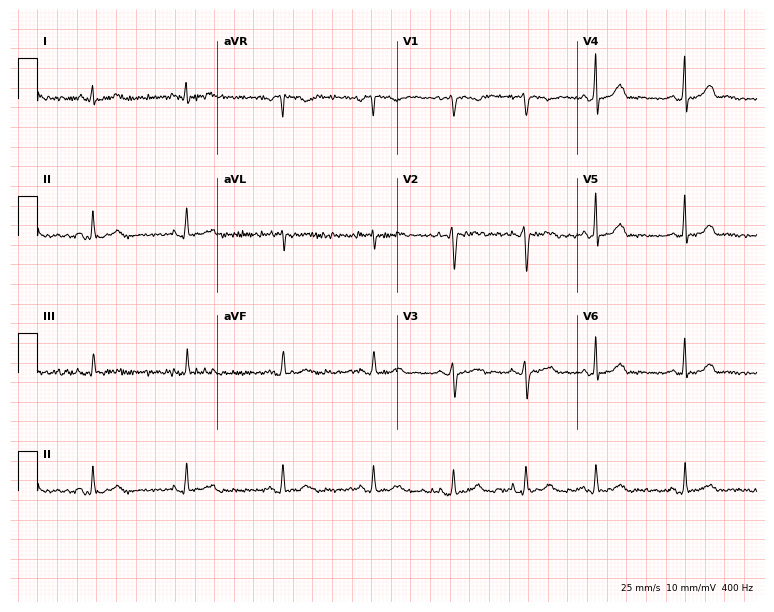
Standard 12-lead ECG recorded from a 28-year-old female (7.3-second recording at 400 Hz). None of these six findings is recorded: first-degree AV block, right bundle branch block (RBBB), left bundle branch block (LBBB), sinus bradycardia, atrial fibrillation (AF), sinus tachycardia. Findings outside these six are not listed.